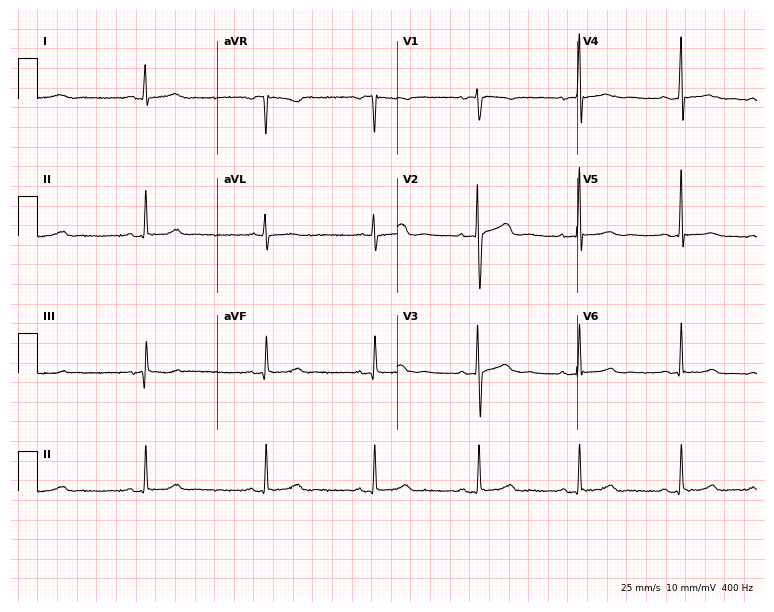
12-lead ECG (7.3-second recording at 400 Hz) from a female patient, 29 years old. Screened for six findings — first-degree AV block, right bundle branch block, left bundle branch block, sinus bradycardia, atrial fibrillation, sinus tachycardia — none is recorded. Only these six findings were labelled.